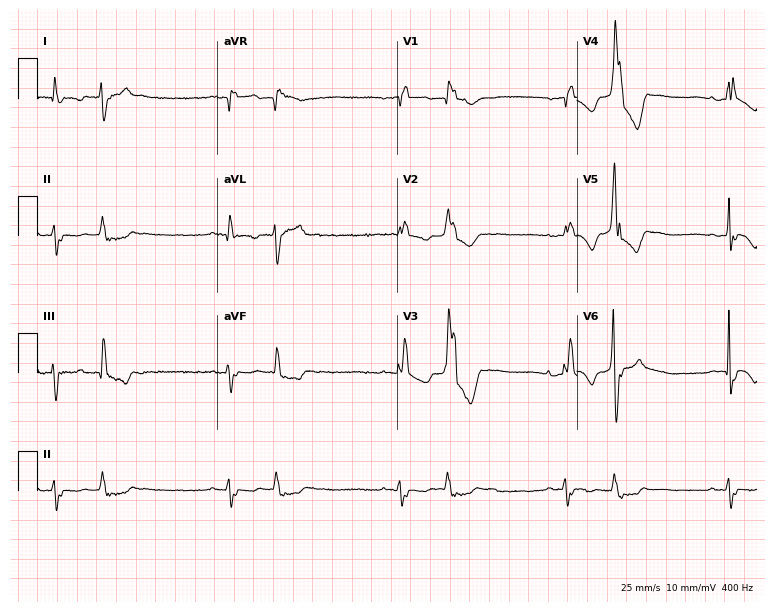
Resting 12-lead electrocardiogram (7.3-second recording at 400 Hz). Patient: a 73-year-old female. The tracing shows right bundle branch block.